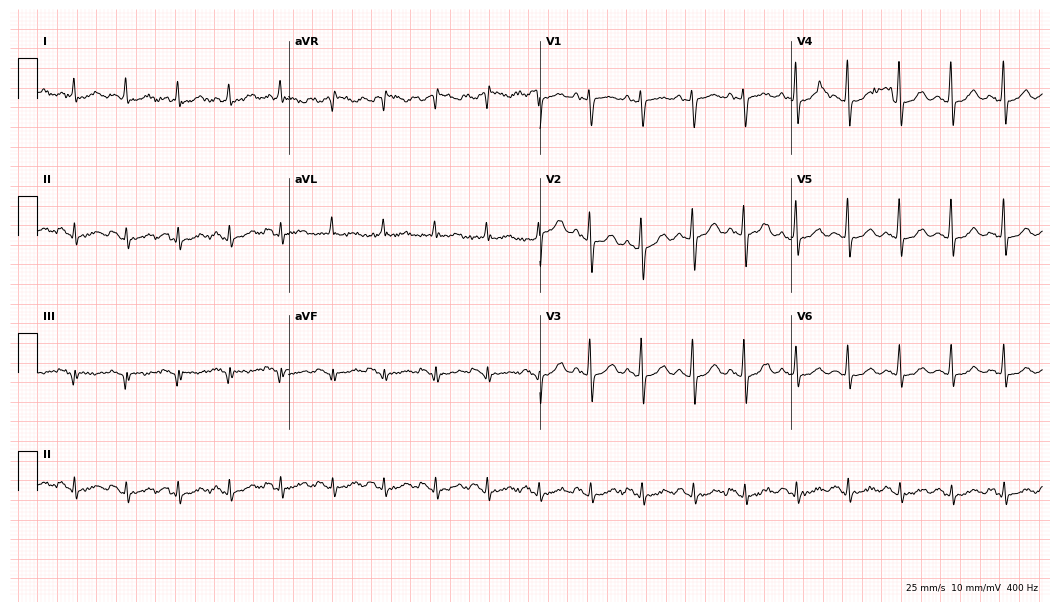
12-lead ECG from a 58-year-old woman (10.2-second recording at 400 Hz). Shows sinus tachycardia (a sinus rate of 100 beats per minute or more).